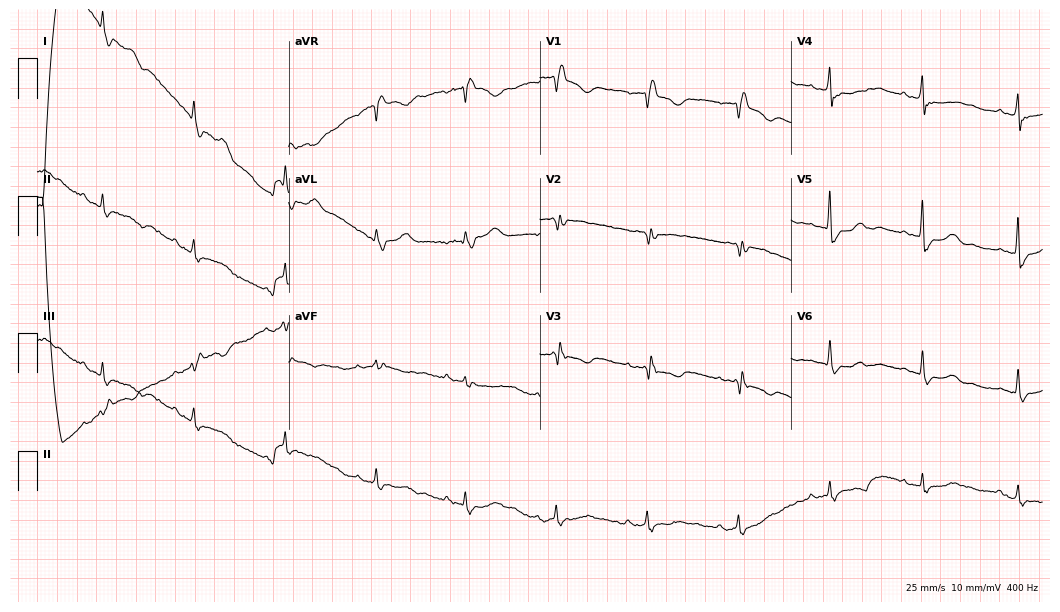
12-lead ECG from a 78-year-old woman. Shows right bundle branch block (RBBB).